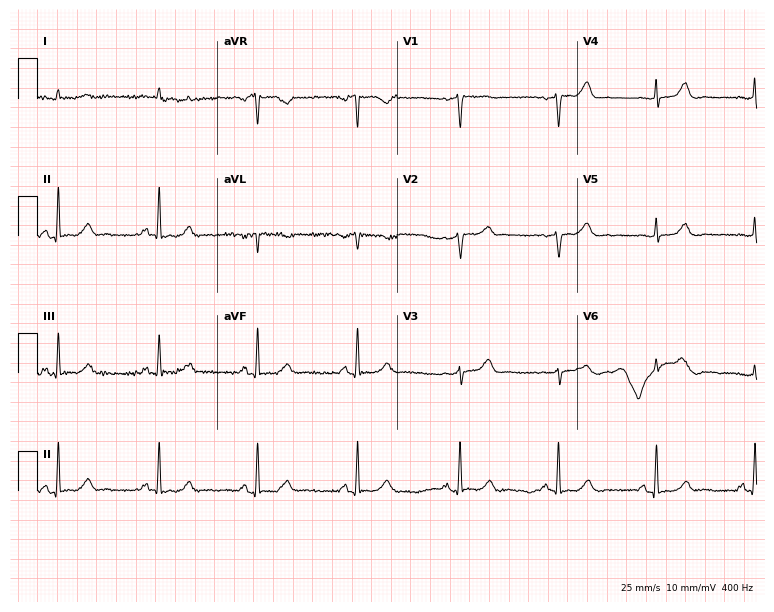
12-lead ECG from a female patient, 74 years old. Screened for six findings — first-degree AV block, right bundle branch block, left bundle branch block, sinus bradycardia, atrial fibrillation, sinus tachycardia — none is recorded. Only these six findings were labelled.